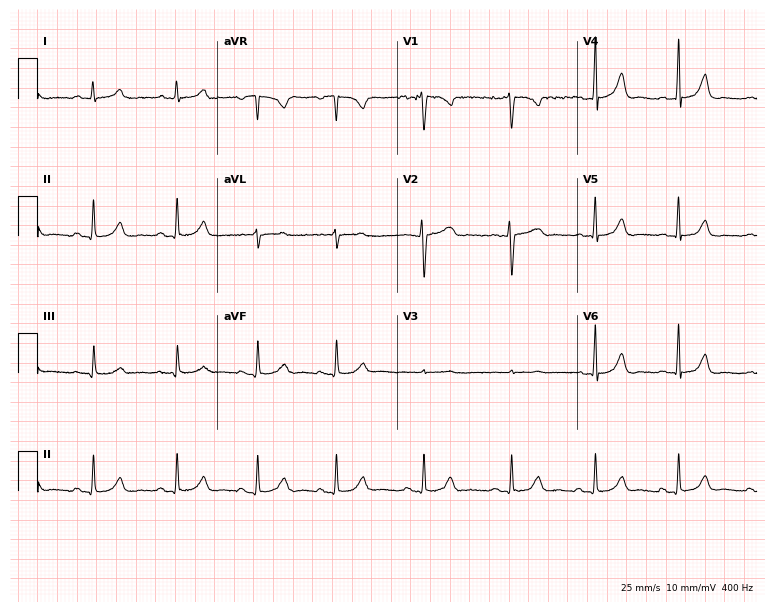
Electrocardiogram (7.3-second recording at 400 Hz), a 28-year-old woman. Overall reading on record: normal ECG.